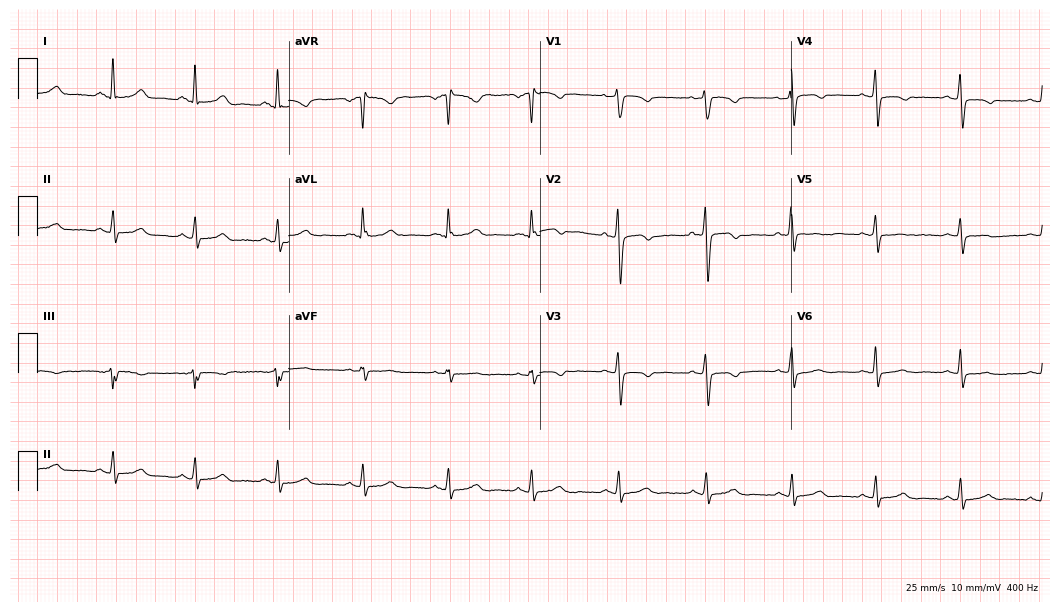
12-lead ECG (10.2-second recording at 400 Hz) from a female, 25 years old. Screened for six findings — first-degree AV block, right bundle branch block (RBBB), left bundle branch block (LBBB), sinus bradycardia, atrial fibrillation (AF), sinus tachycardia — none is recorded. Only these six findings were labelled.